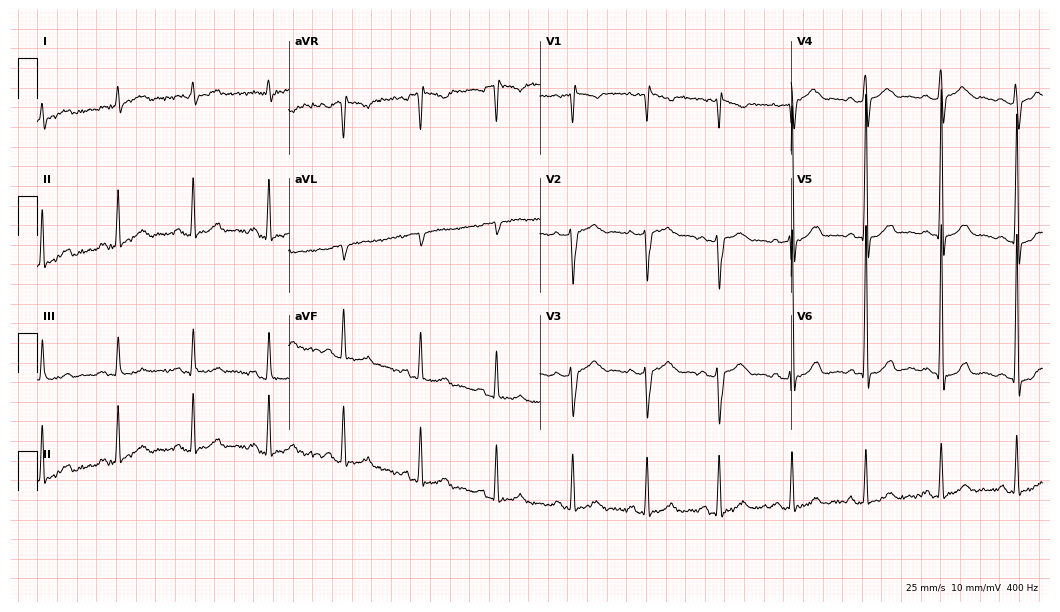
Electrocardiogram (10.2-second recording at 400 Hz), a male patient, 75 years old. Of the six screened findings (first-degree AV block, right bundle branch block, left bundle branch block, sinus bradycardia, atrial fibrillation, sinus tachycardia), none is recorded. Other findings, if any, are not listed.